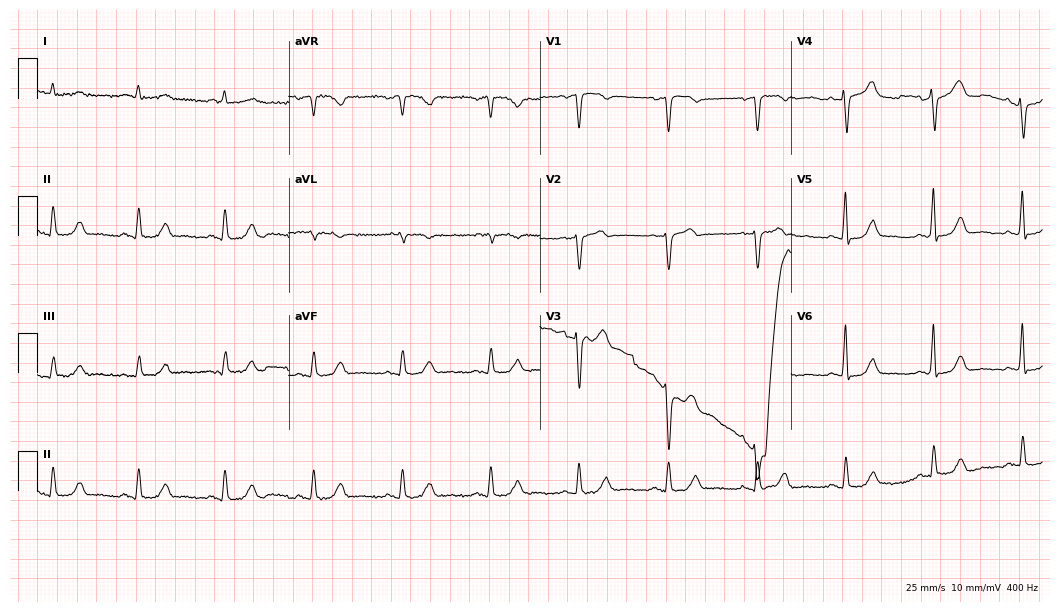
12-lead ECG (10.2-second recording at 400 Hz) from a male, 73 years old. Labelled as a normal ECG.